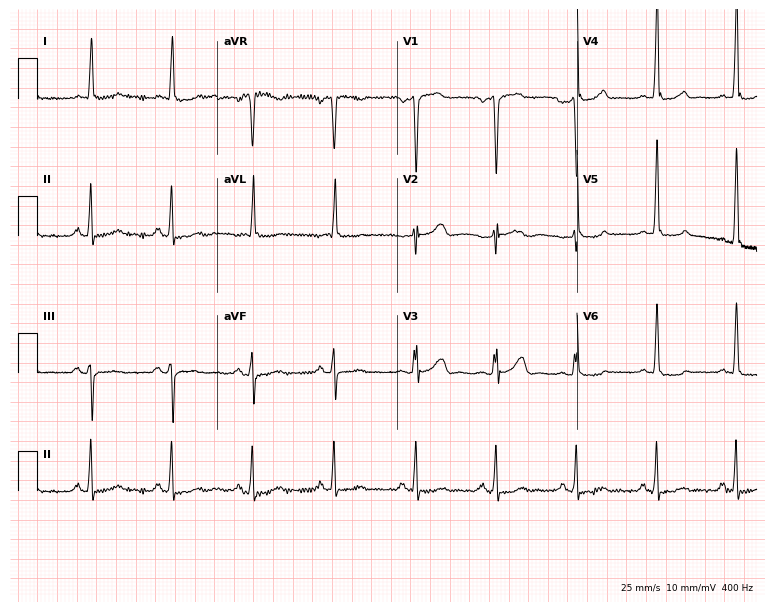
12-lead ECG from a male patient, 39 years old. Screened for six findings — first-degree AV block, right bundle branch block, left bundle branch block, sinus bradycardia, atrial fibrillation, sinus tachycardia — none is recorded. Only these six findings were labelled.